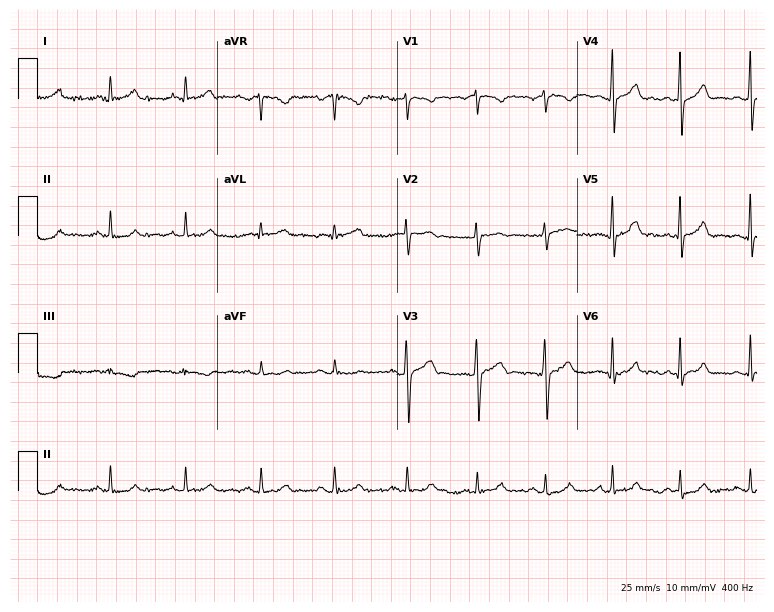
Standard 12-lead ECG recorded from a male, 46 years old (7.3-second recording at 400 Hz). Read as a normal ECG.